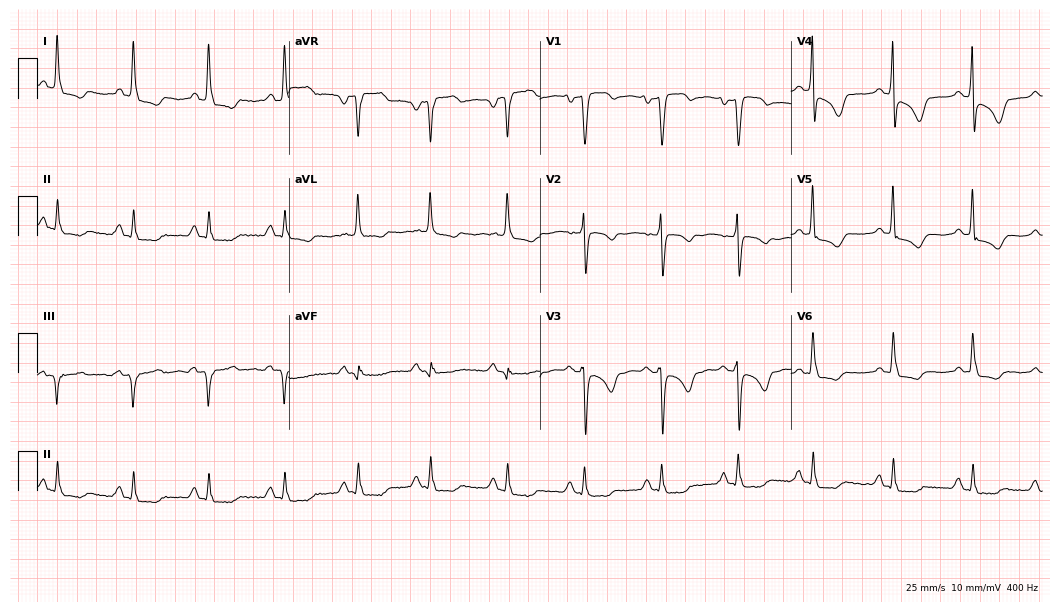
Resting 12-lead electrocardiogram. Patient: a female, 81 years old. None of these six findings is recorded: first-degree AV block, right bundle branch block, left bundle branch block, sinus bradycardia, atrial fibrillation, sinus tachycardia. Findings outside these six are not listed.